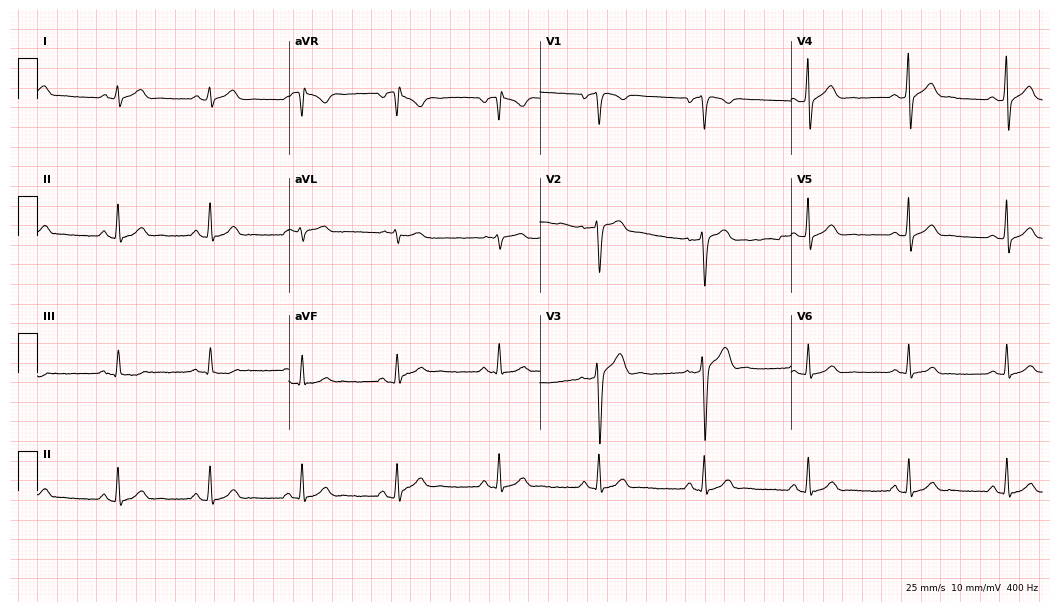
Electrocardiogram, a male patient, 33 years old. Of the six screened findings (first-degree AV block, right bundle branch block (RBBB), left bundle branch block (LBBB), sinus bradycardia, atrial fibrillation (AF), sinus tachycardia), none is recorded. Only these six findings were labelled.